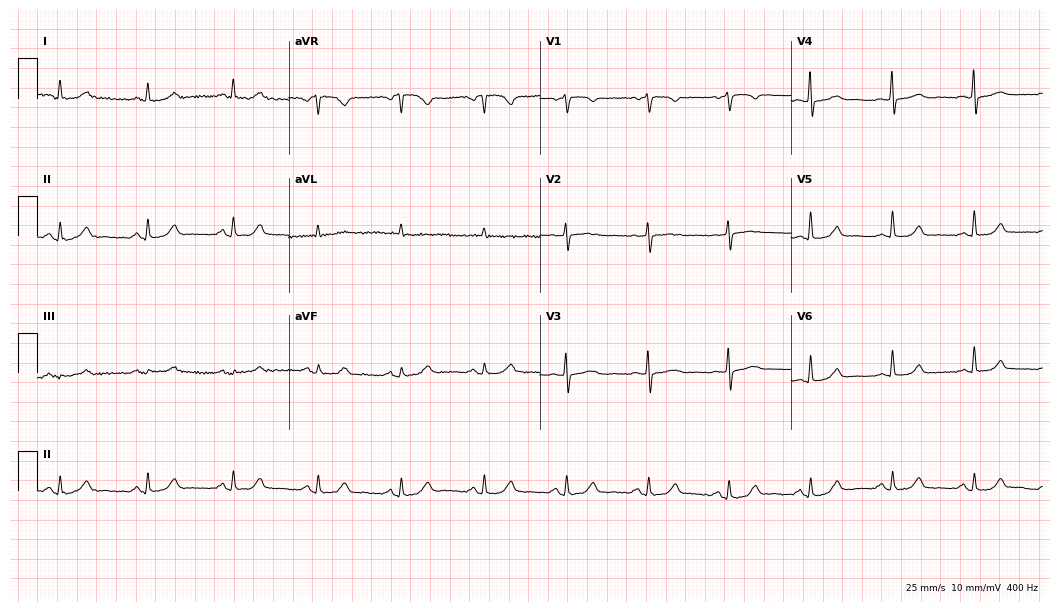
12-lead ECG from a 62-year-old woman (10.2-second recording at 400 Hz). No first-degree AV block, right bundle branch block, left bundle branch block, sinus bradycardia, atrial fibrillation or sinus tachycardia recorded for this tracing.